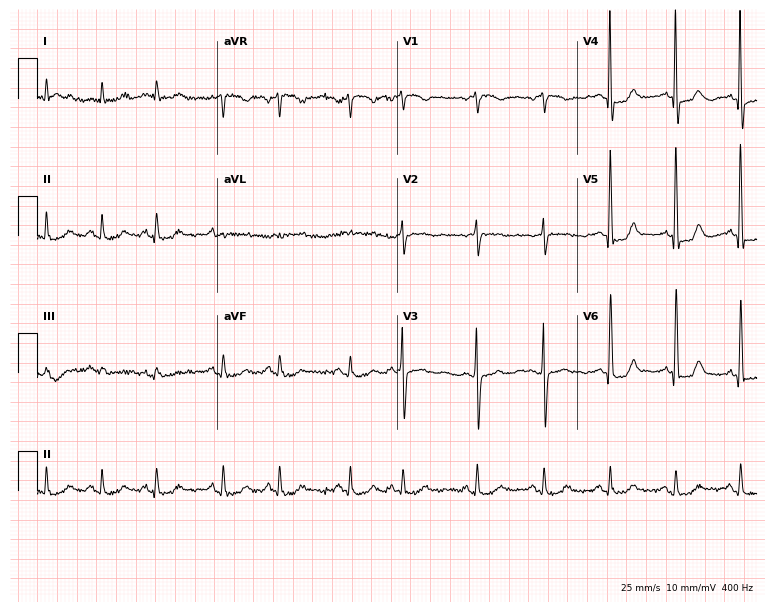
ECG (7.3-second recording at 400 Hz) — a woman, 82 years old. Screened for six findings — first-degree AV block, right bundle branch block, left bundle branch block, sinus bradycardia, atrial fibrillation, sinus tachycardia — none is recorded.